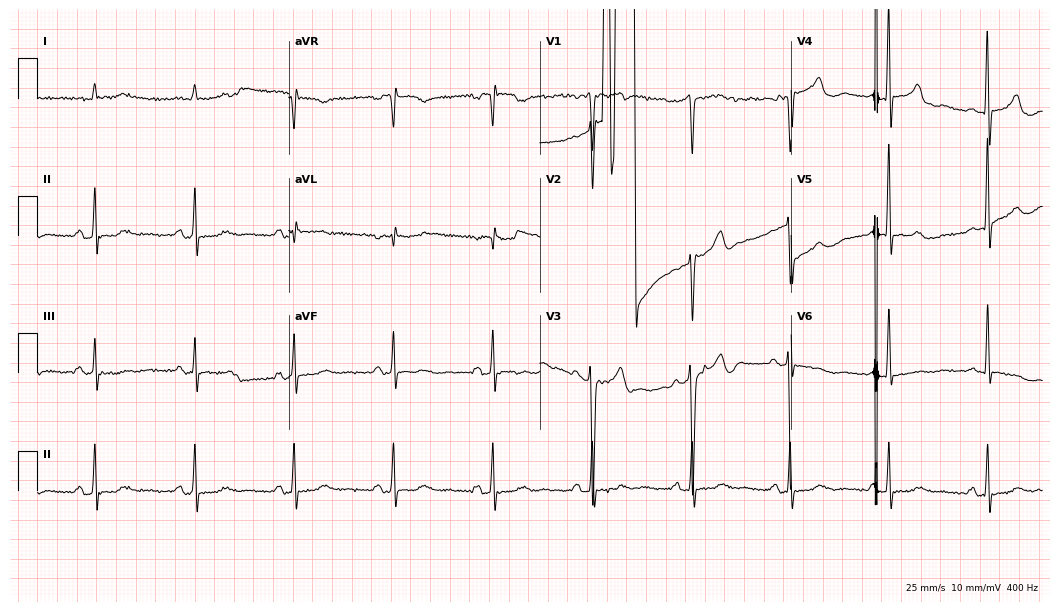
Resting 12-lead electrocardiogram (10.2-second recording at 400 Hz). Patient: a male, 75 years old. None of these six findings is recorded: first-degree AV block, right bundle branch block (RBBB), left bundle branch block (LBBB), sinus bradycardia, atrial fibrillation (AF), sinus tachycardia. Findings outside these six are not listed.